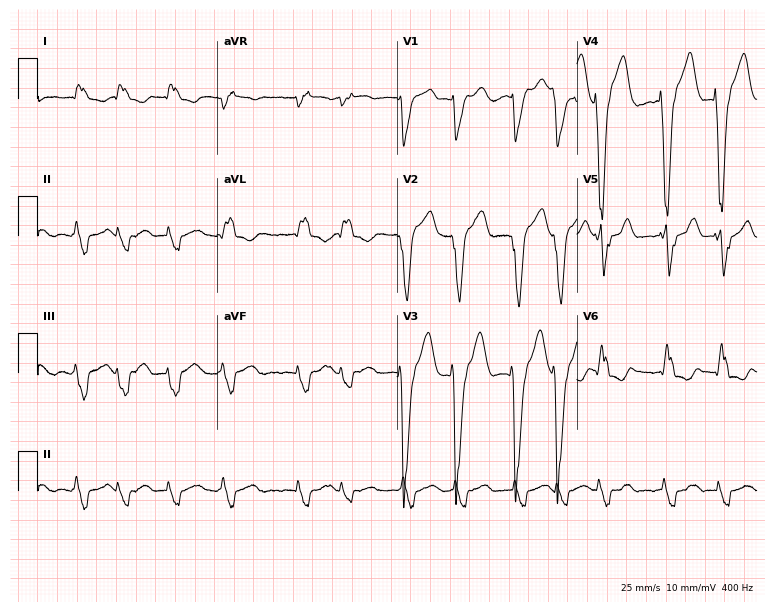
Resting 12-lead electrocardiogram (7.3-second recording at 400 Hz). Patient: a female, 80 years old. The tracing shows left bundle branch block, atrial fibrillation.